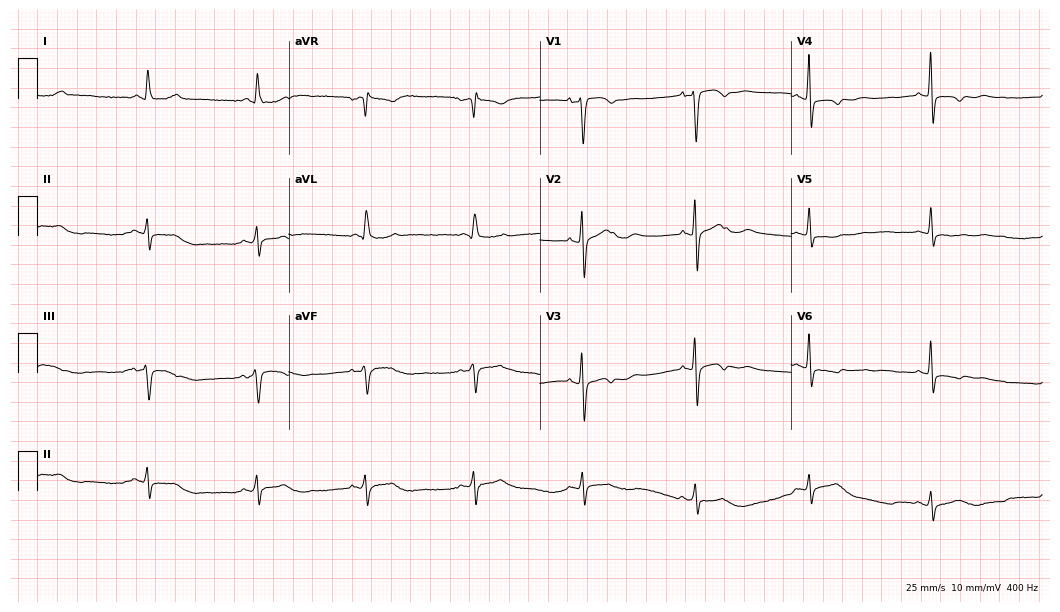
Electrocardiogram, a 52-year-old woman. Of the six screened findings (first-degree AV block, right bundle branch block, left bundle branch block, sinus bradycardia, atrial fibrillation, sinus tachycardia), none is recorded.